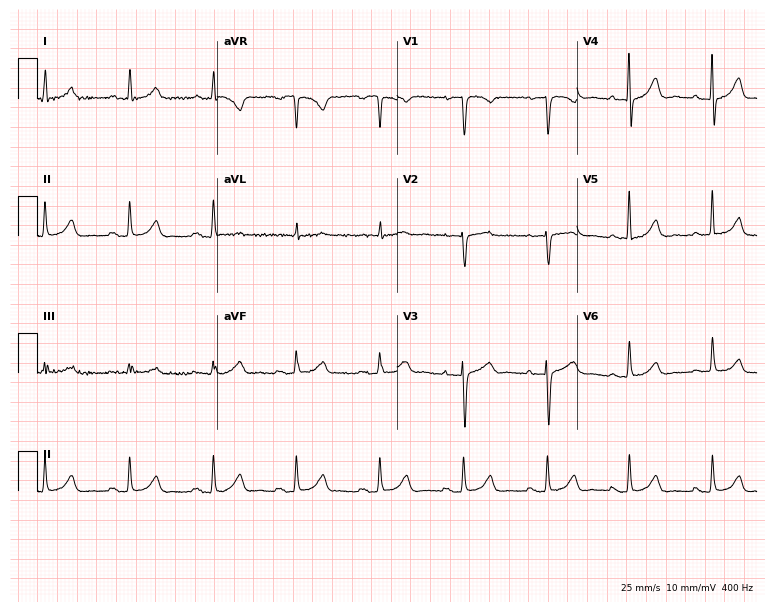
ECG (7.3-second recording at 400 Hz) — a female patient, 77 years old. Labelled as a normal ECG.